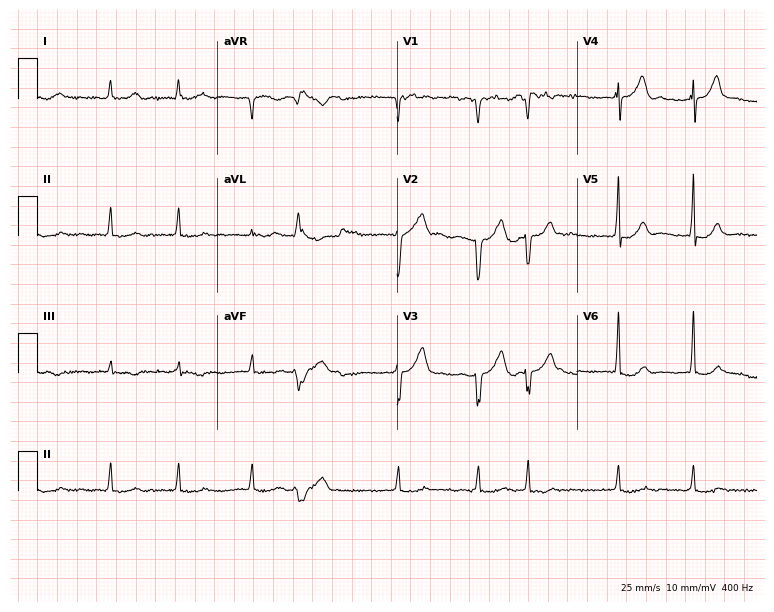
Resting 12-lead electrocardiogram (7.3-second recording at 400 Hz). Patient: a 68-year-old male. The tracing shows atrial fibrillation.